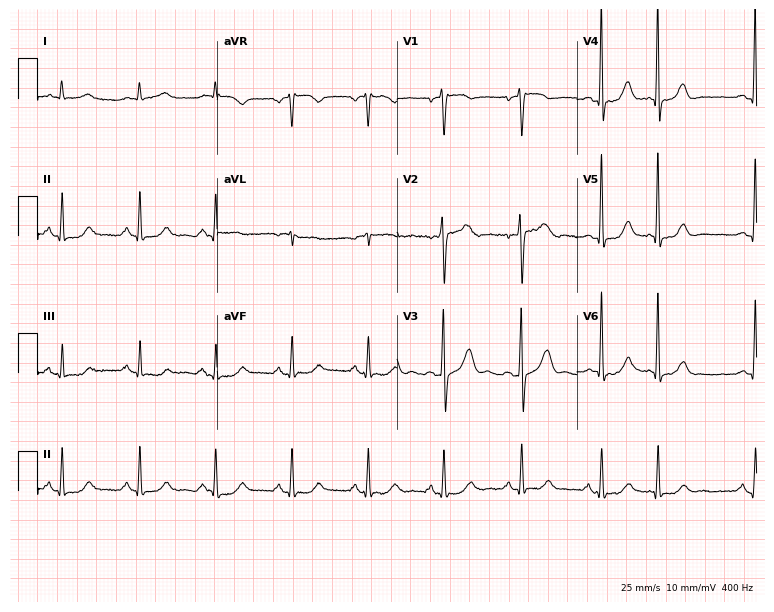
12-lead ECG from an 80-year-old man. Screened for six findings — first-degree AV block, right bundle branch block, left bundle branch block, sinus bradycardia, atrial fibrillation, sinus tachycardia — none is recorded. Only these six findings were labelled.